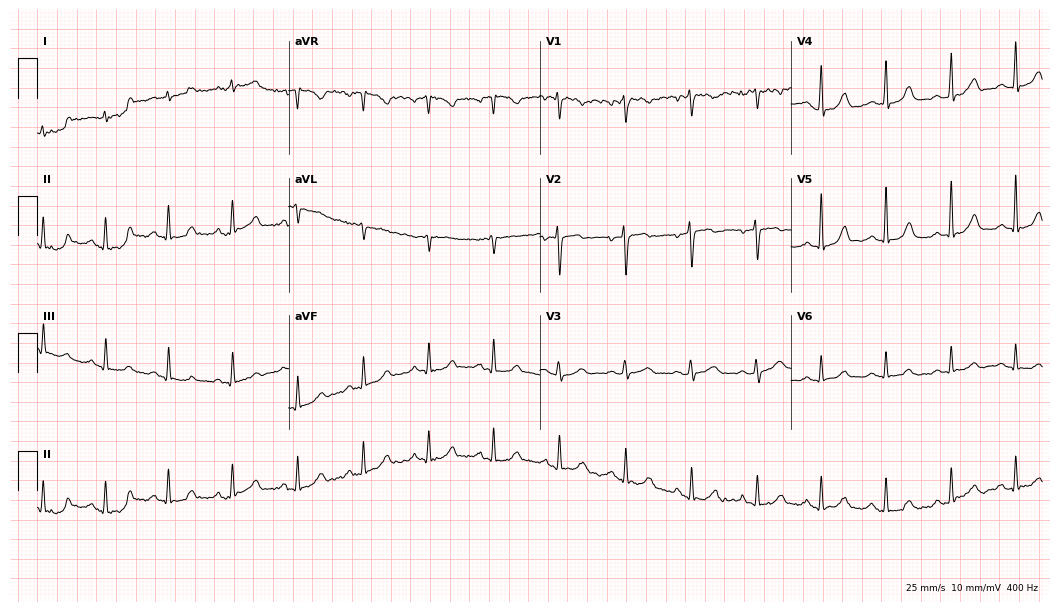
12-lead ECG from a female patient, 29 years old (10.2-second recording at 400 Hz). Recorded interpretation: within normal limits.